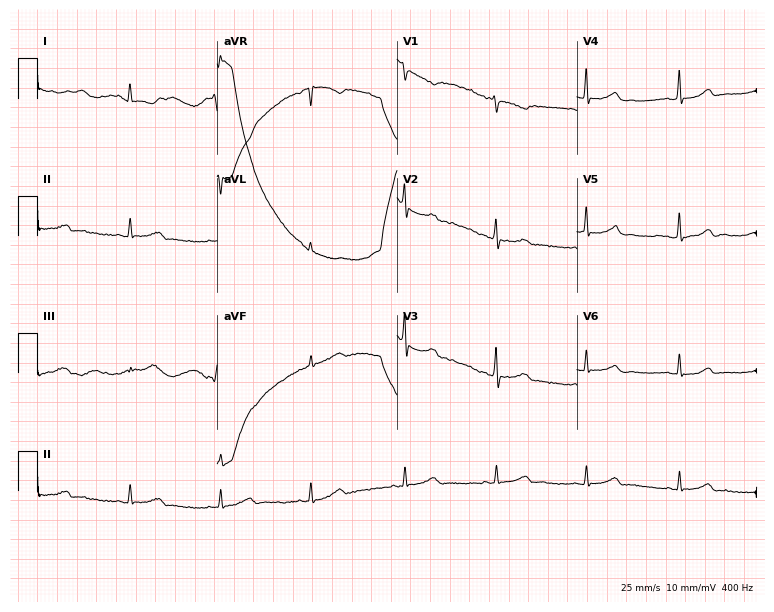
Electrocardiogram, a 29-year-old female patient. Of the six screened findings (first-degree AV block, right bundle branch block, left bundle branch block, sinus bradycardia, atrial fibrillation, sinus tachycardia), none is recorded. Other findings, if any, are not listed.